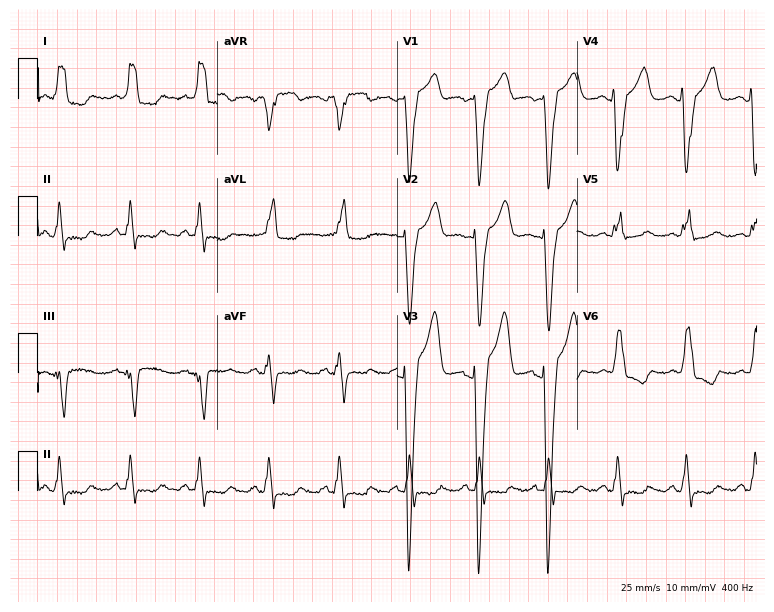
ECG — a female, 56 years old. Findings include left bundle branch block (LBBB).